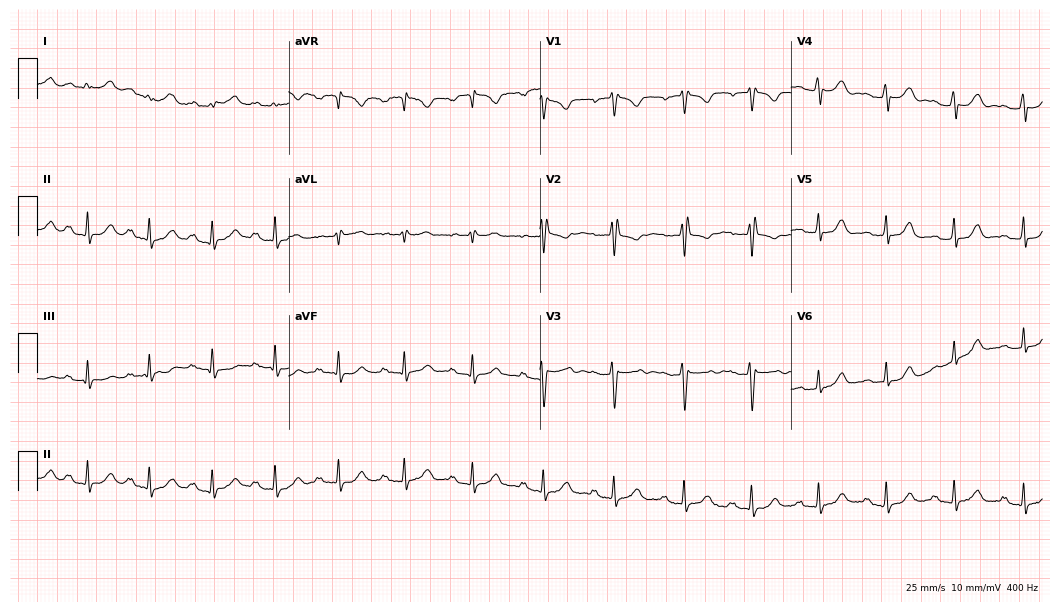
12-lead ECG from a 27-year-old female. Findings include first-degree AV block.